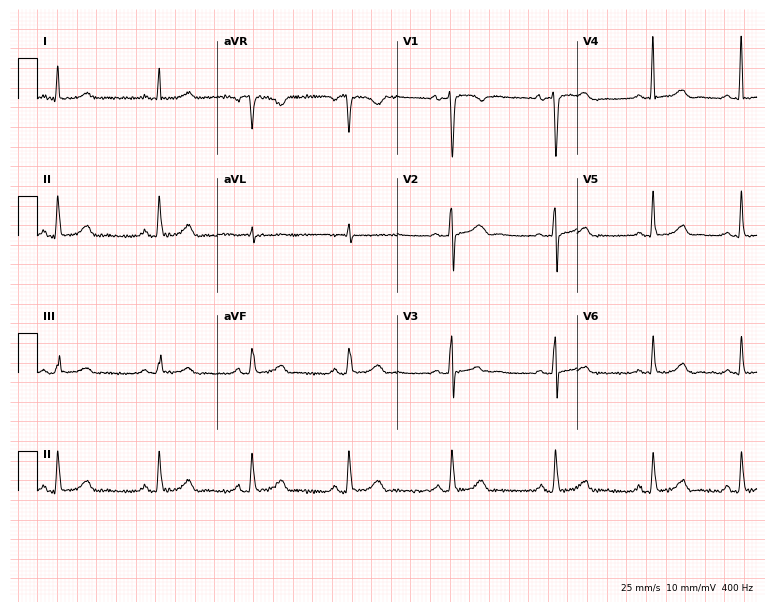
Standard 12-lead ECG recorded from a 31-year-old woman (7.3-second recording at 400 Hz). None of these six findings is recorded: first-degree AV block, right bundle branch block (RBBB), left bundle branch block (LBBB), sinus bradycardia, atrial fibrillation (AF), sinus tachycardia.